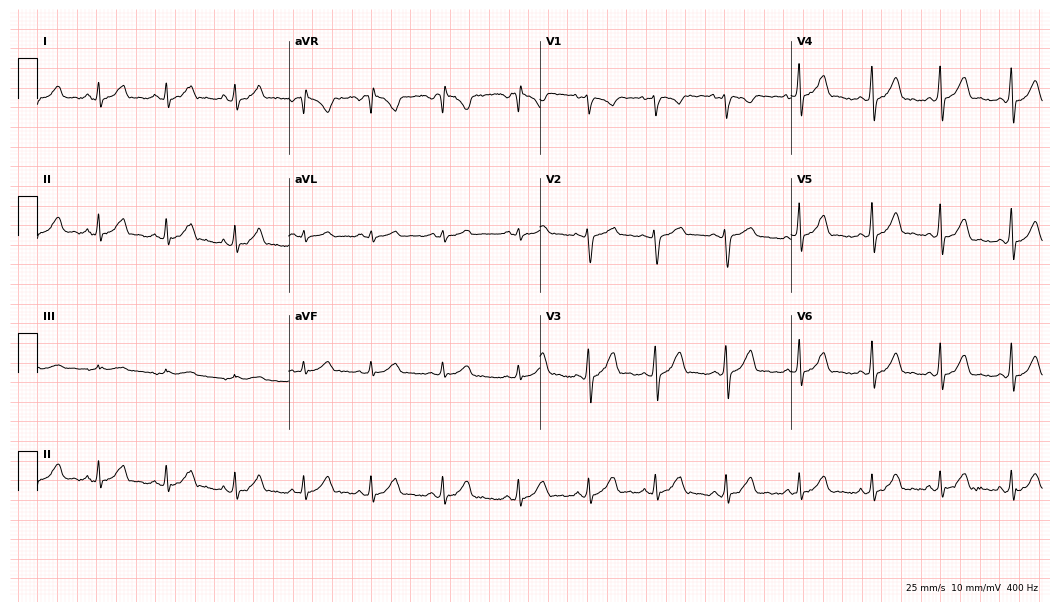
ECG — a female, 23 years old. Screened for six findings — first-degree AV block, right bundle branch block, left bundle branch block, sinus bradycardia, atrial fibrillation, sinus tachycardia — none is recorded. Other findings, if any, are not listed.